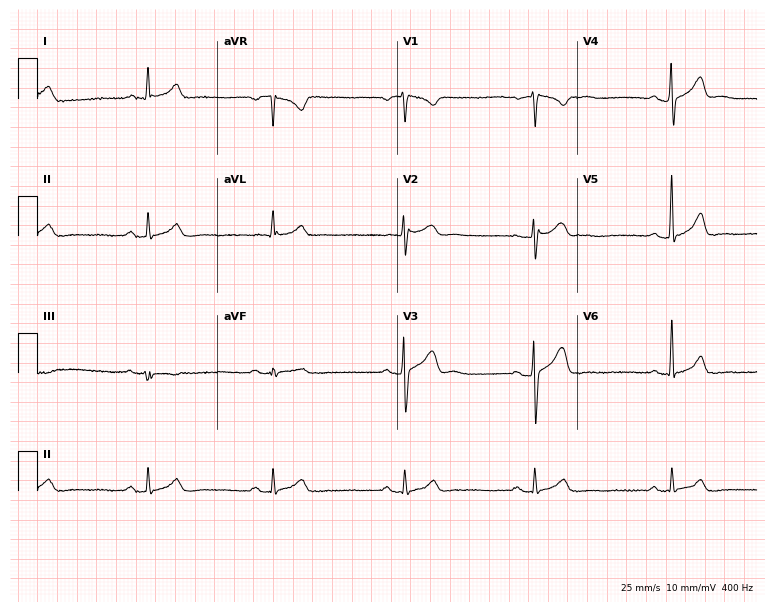
Resting 12-lead electrocardiogram. Patient: a male, 42 years old. The tracing shows sinus bradycardia (a sinus rate of 50 beats per minute or less).